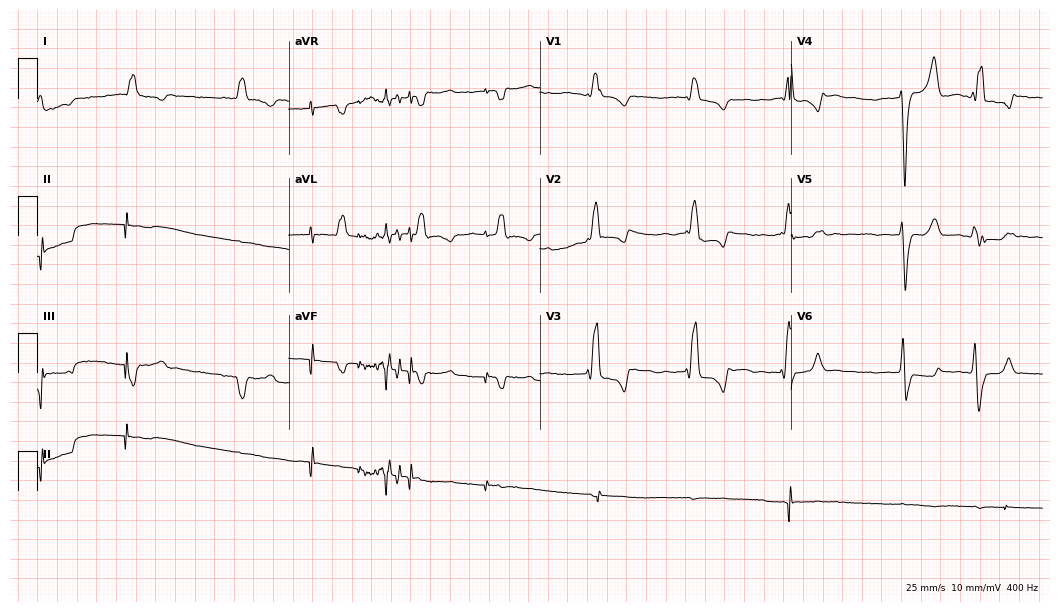
Standard 12-lead ECG recorded from an 81-year-old male patient. None of these six findings is recorded: first-degree AV block, right bundle branch block, left bundle branch block, sinus bradycardia, atrial fibrillation, sinus tachycardia.